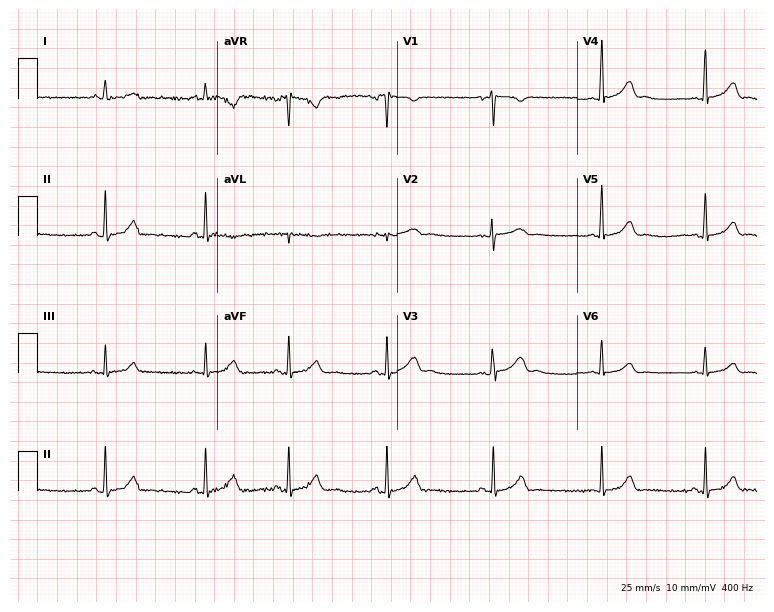
12-lead ECG from a 57-year-old female. Recorded interpretation: within normal limits.